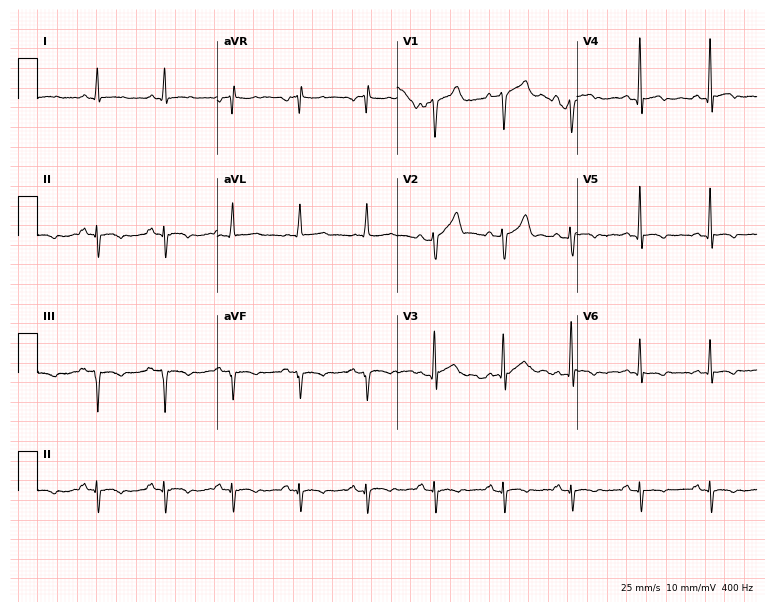
Electrocardiogram (7.3-second recording at 400 Hz), a 43-year-old male. Of the six screened findings (first-degree AV block, right bundle branch block (RBBB), left bundle branch block (LBBB), sinus bradycardia, atrial fibrillation (AF), sinus tachycardia), none is recorded. Findings outside these six are not listed.